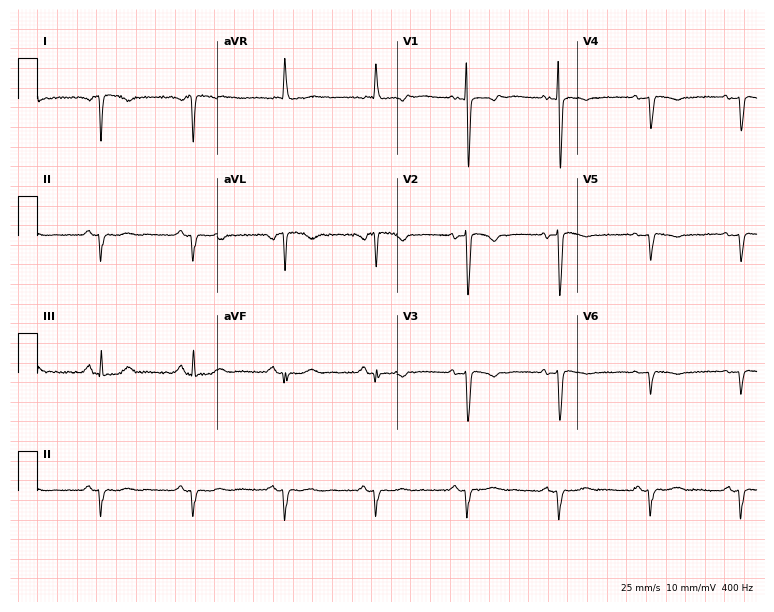
ECG (7.3-second recording at 400 Hz) — a female, 74 years old. Screened for six findings — first-degree AV block, right bundle branch block (RBBB), left bundle branch block (LBBB), sinus bradycardia, atrial fibrillation (AF), sinus tachycardia — none is recorded. Findings outside these six are not listed.